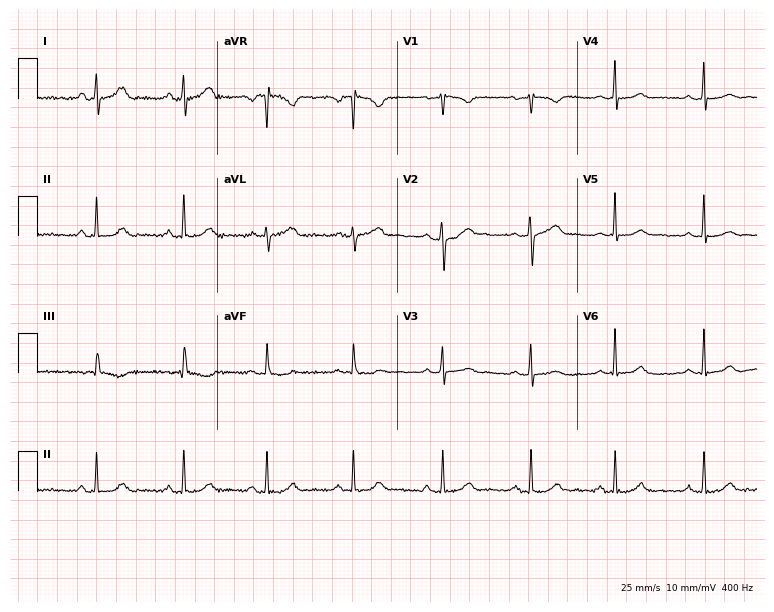
12-lead ECG from a 37-year-old female patient. Recorded interpretation: within normal limits.